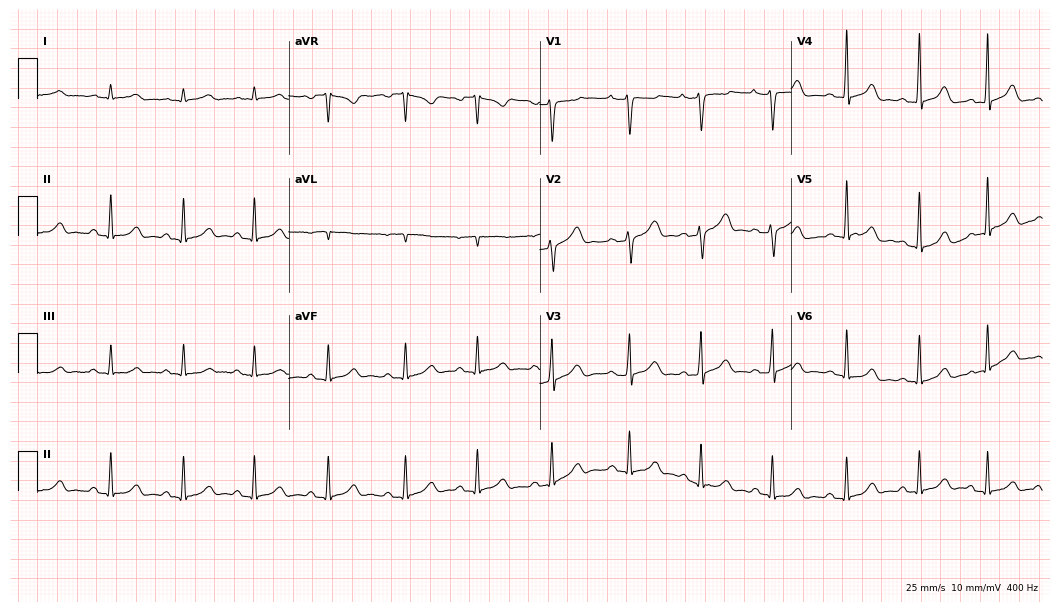
Standard 12-lead ECG recorded from a female, 19 years old. Read as a normal ECG.